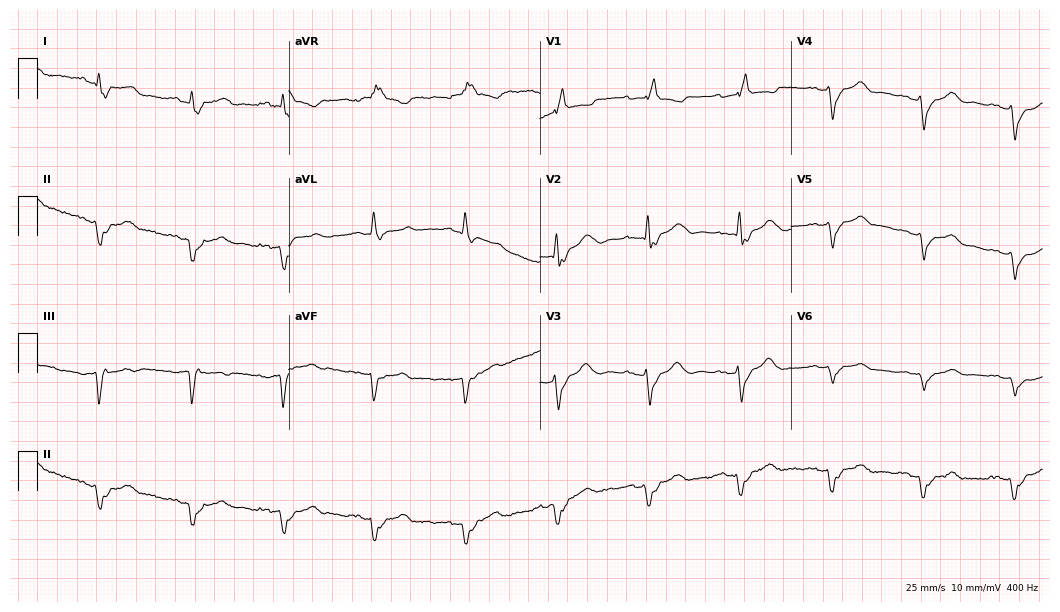
Electrocardiogram, a woman, 82 years old. Interpretation includes first-degree AV block, right bundle branch block (RBBB).